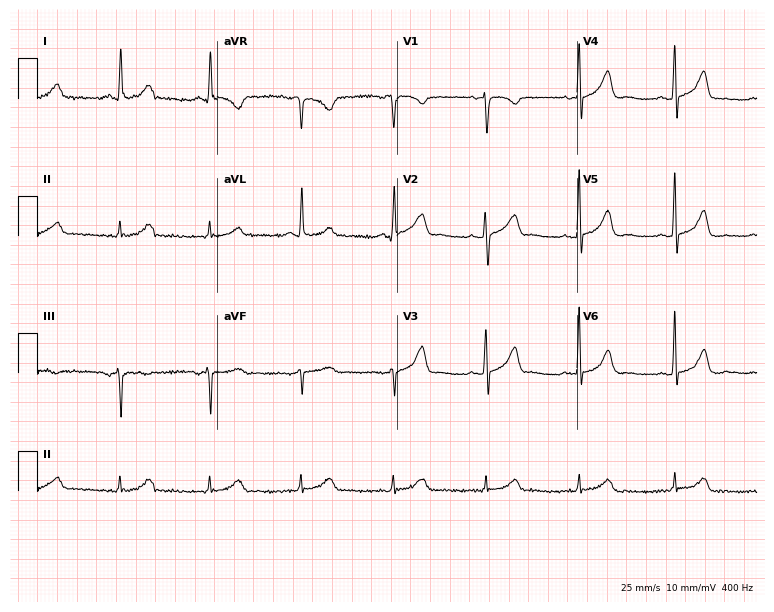
Resting 12-lead electrocardiogram. Patient: a female, 56 years old. Read as a normal ECG.